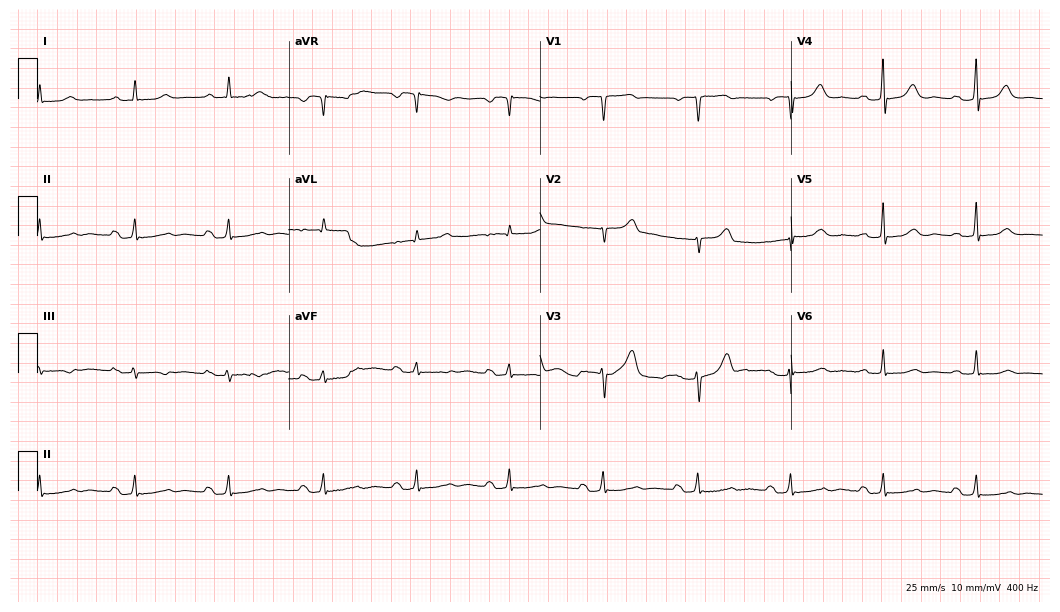
Standard 12-lead ECG recorded from a female, 84 years old (10.2-second recording at 400 Hz). Read as a normal ECG.